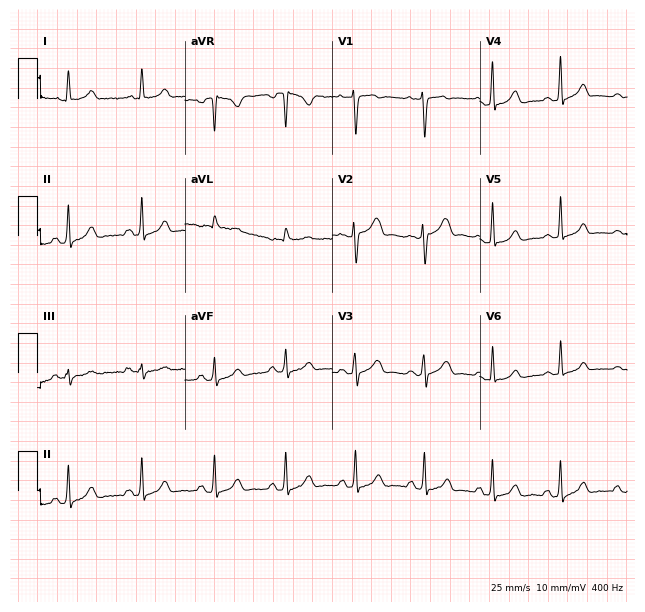
ECG — a woman, 38 years old. Screened for six findings — first-degree AV block, right bundle branch block (RBBB), left bundle branch block (LBBB), sinus bradycardia, atrial fibrillation (AF), sinus tachycardia — none is recorded. Other findings, if any, are not listed.